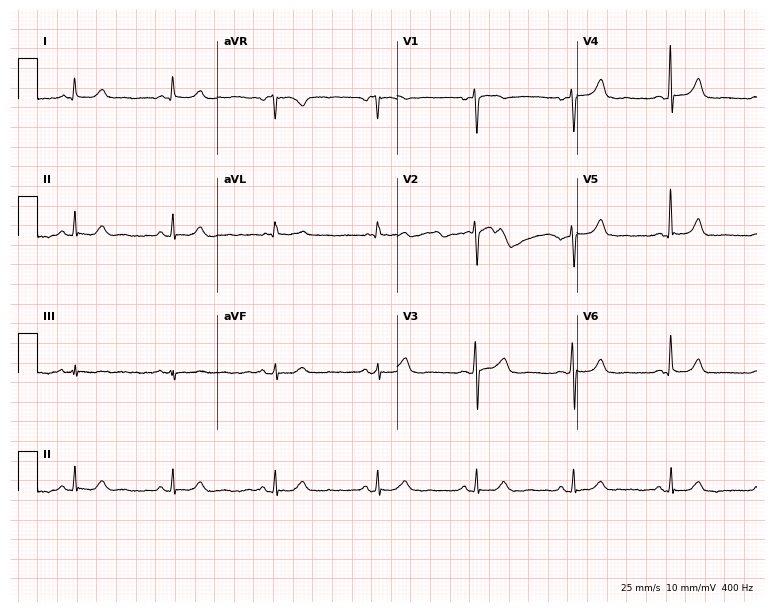
ECG — a female patient, 70 years old. Labelled as a normal ECG.